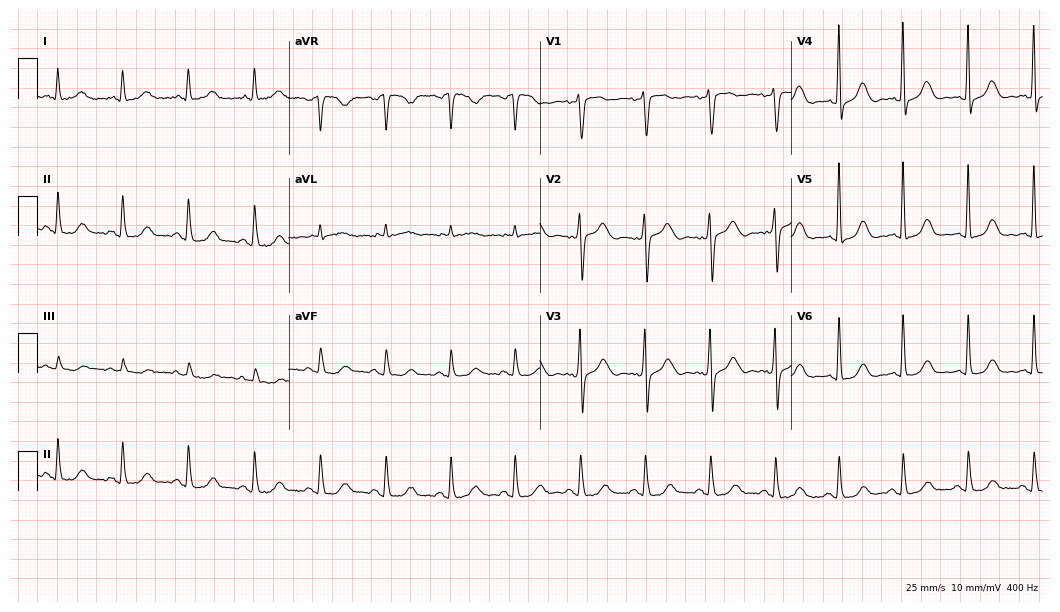
12-lead ECG from a 70-year-old female. Labelled as a normal ECG.